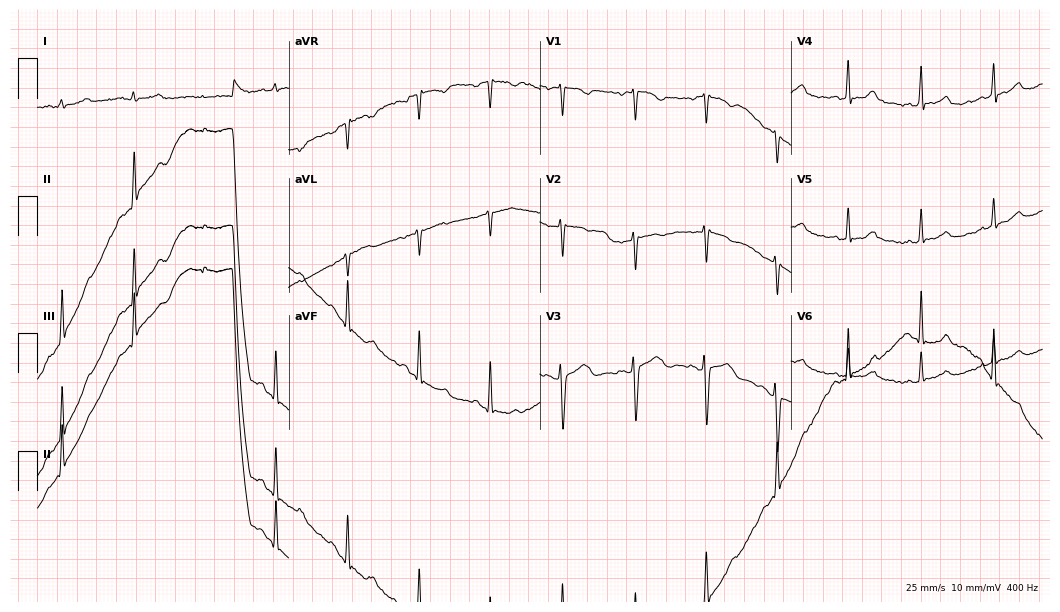
Electrocardiogram (10.2-second recording at 400 Hz), a 53-year-old female. Overall reading on record: normal ECG.